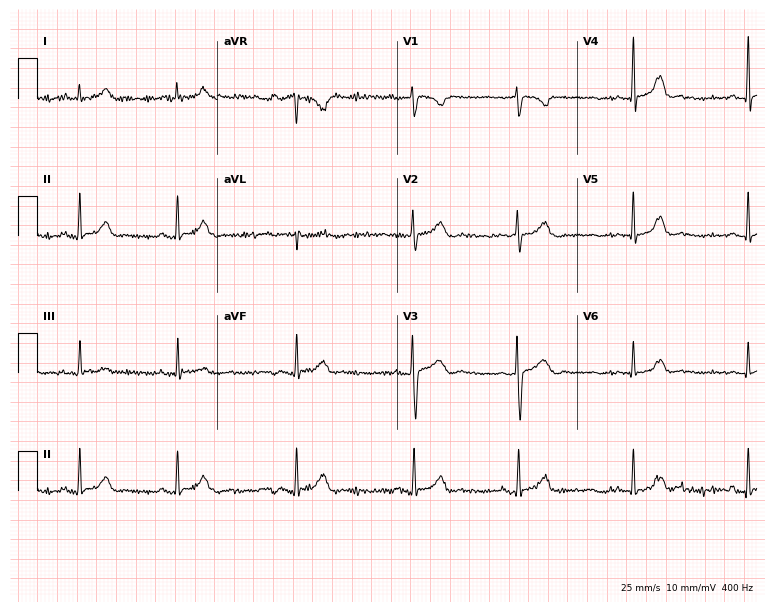
12-lead ECG (7.3-second recording at 400 Hz) from a female, 27 years old. Screened for six findings — first-degree AV block, right bundle branch block, left bundle branch block, sinus bradycardia, atrial fibrillation, sinus tachycardia — none is recorded. Findings outside these six are not listed.